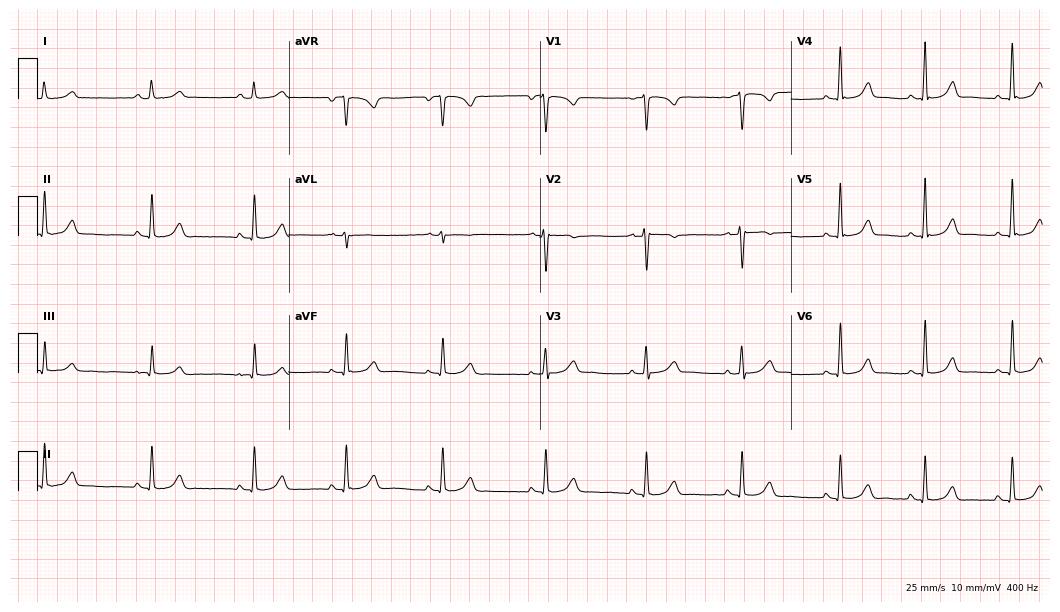
Resting 12-lead electrocardiogram. Patient: a 29-year-old woman. Read as a normal ECG.